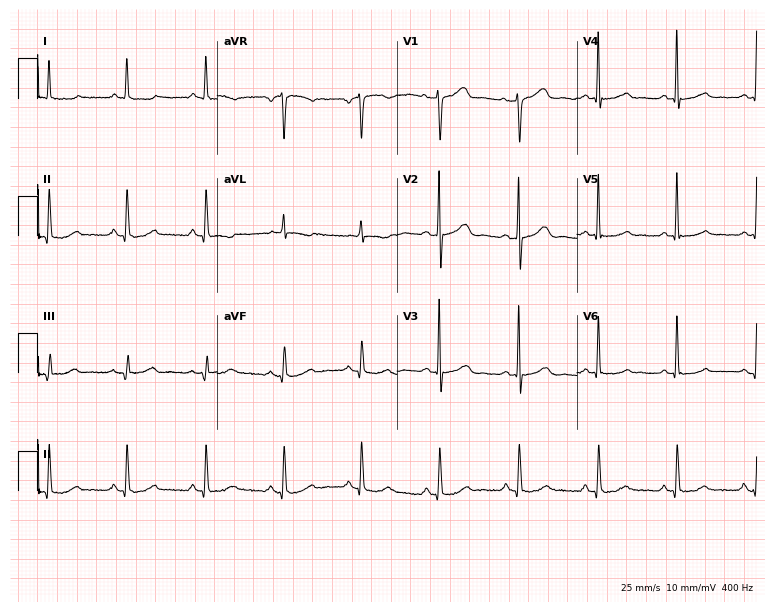
12-lead ECG from a female, 63 years old. Labelled as a normal ECG.